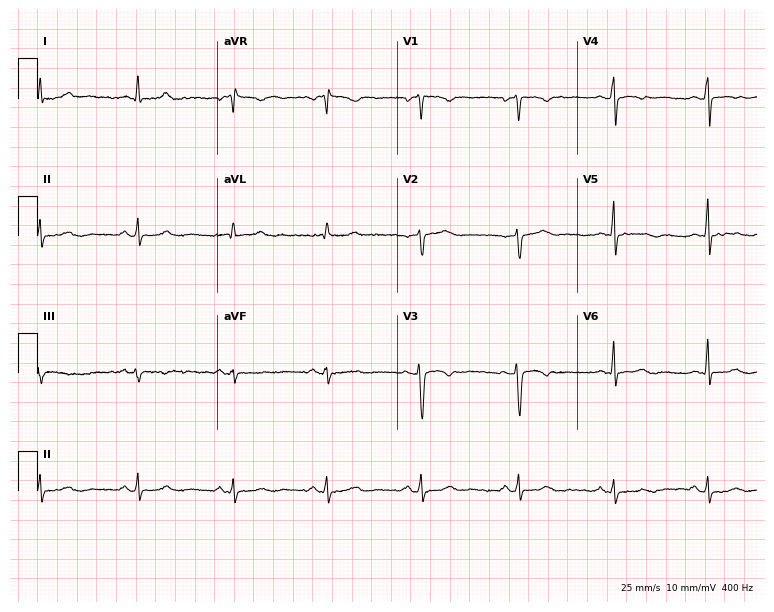
Resting 12-lead electrocardiogram. Patient: a 41-year-old female. None of these six findings is recorded: first-degree AV block, right bundle branch block, left bundle branch block, sinus bradycardia, atrial fibrillation, sinus tachycardia.